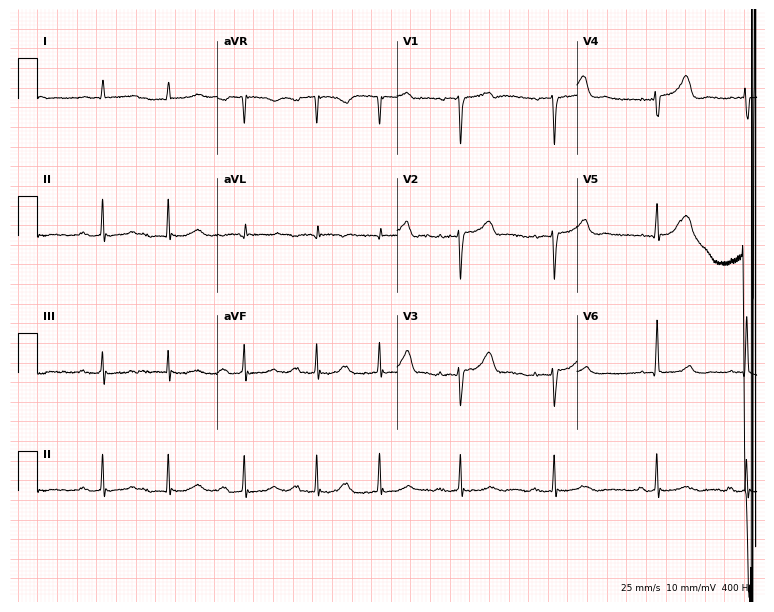
Electrocardiogram (7.3-second recording at 400 Hz), a male patient, 85 years old. Interpretation includes first-degree AV block.